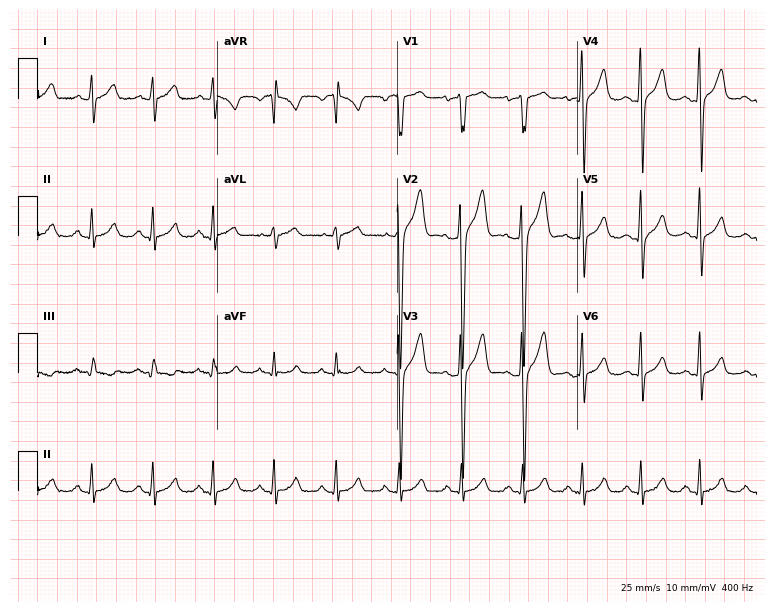
ECG (7.3-second recording at 400 Hz) — a 40-year-old male. Labelled as a normal ECG.